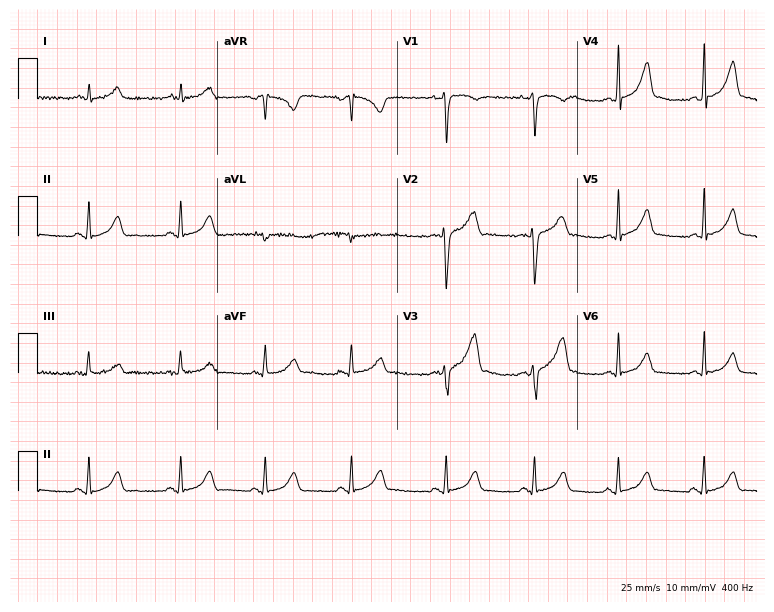
Electrocardiogram (7.3-second recording at 400 Hz), a 23-year-old woman. Of the six screened findings (first-degree AV block, right bundle branch block (RBBB), left bundle branch block (LBBB), sinus bradycardia, atrial fibrillation (AF), sinus tachycardia), none is recorded. Findings outside these six are not listed.